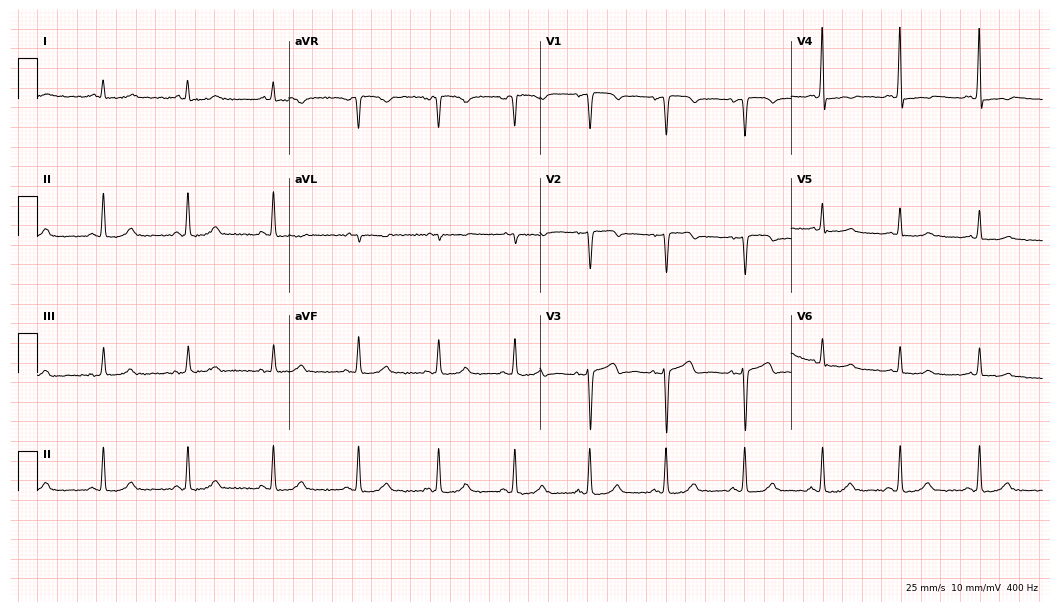
12-lead ECG from a woman, 51 years old (10.2-second recording at 400 Hz). Recorded interpretation: within normal limits.